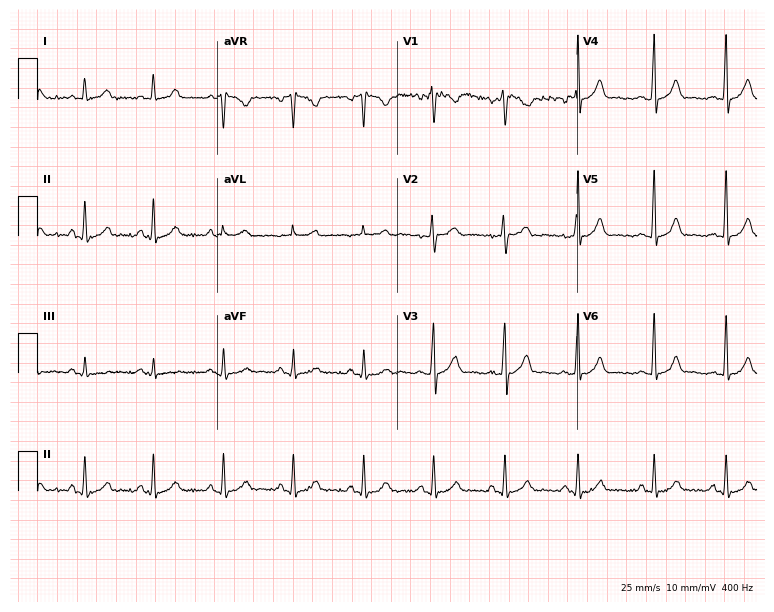
Resting 12-lead electrocardiogram (7.3-second recording at 400 Hz). Patient: a 35-year-old man. None of these six findings is recorded: first-degree AV block, right bundle branch block, left bundle branch block, sinus bradycardia, atrial fibrillation, sinus tachycardia. Other findings, if any, are not listed.